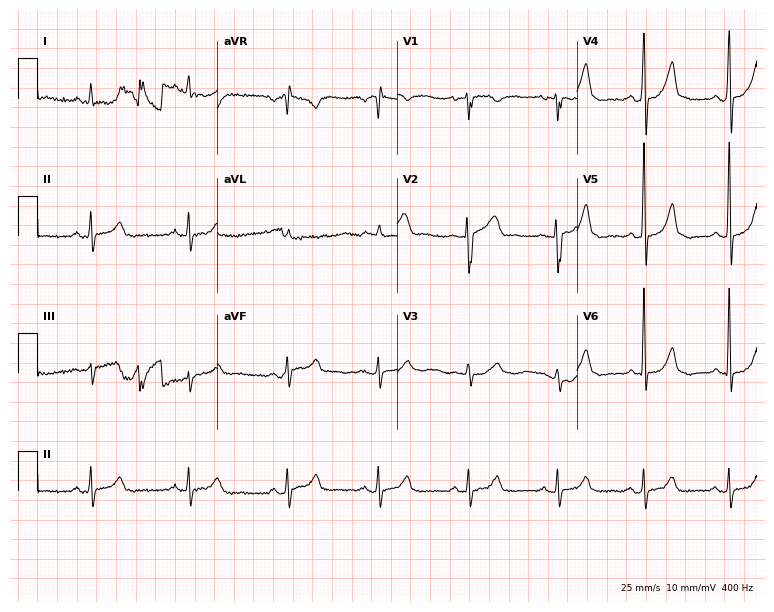
Resting 12-lead electrocardiogram. Patient: a male, 76 years old. Read as a normal ECG.